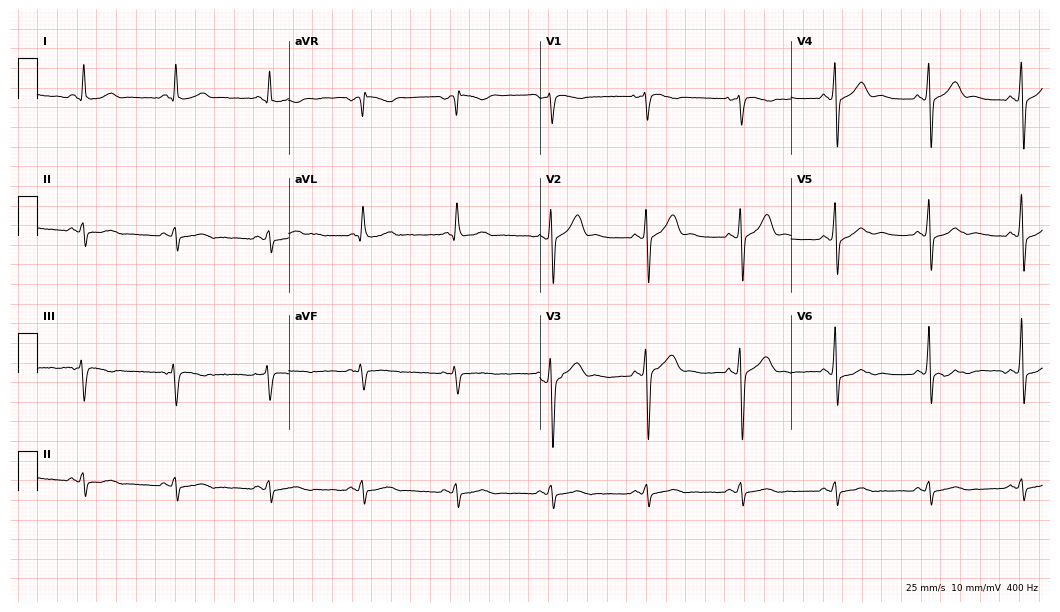
ECG (10.2-second recording at 400 Hz) — a male, 55 years old. Screened for six findings — first-degree AV block, right bundle branch block, left bundle branch block, sinus bradycardia, atrial fibrillation, sinus tachycardia — none is recorded. Findings outside these six are not listed.